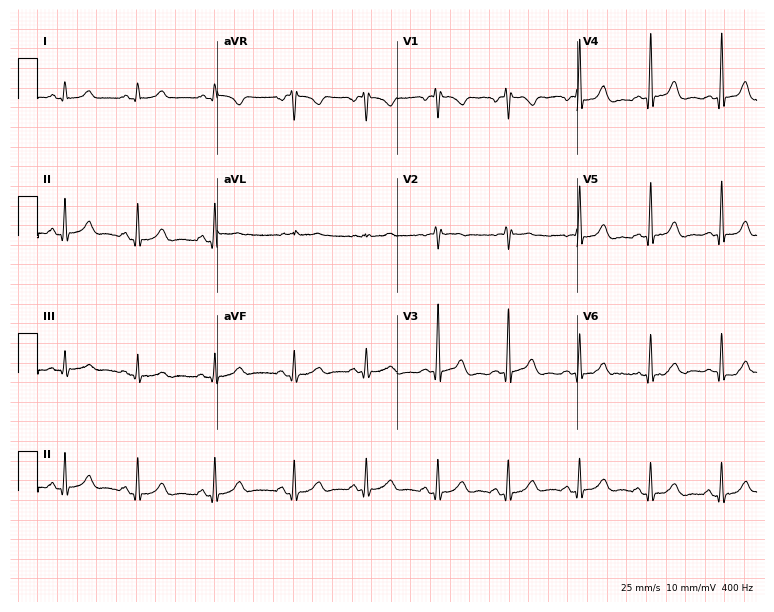
Standard 12-lead ECG recorded from a female, 51 years old. Read as a normal ECG.